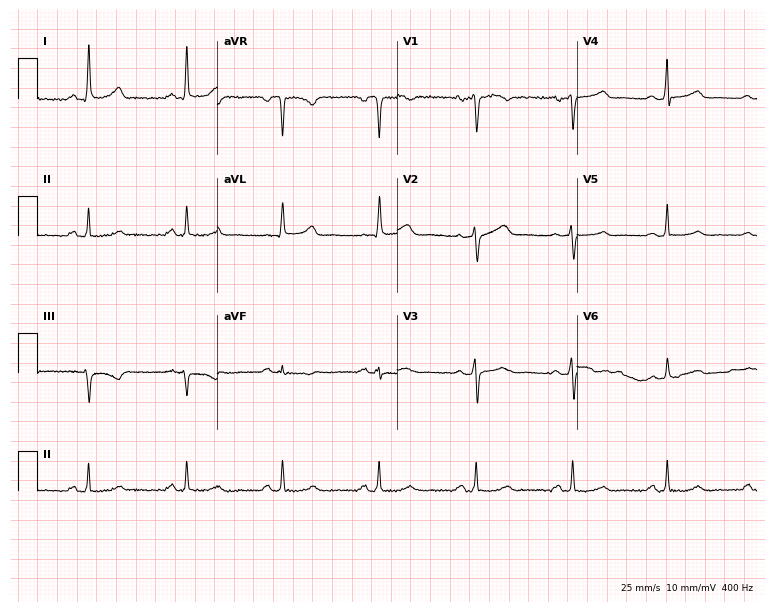
Electrocardiogram (7.3-second recording at 400 Hz), a 55-year-old female. Of the six screened findings (first-degree AV block, right bundle branch block, left bundle branch block, sinus bradycardia, atrial fibrillation, sinus tachycardia), none is recorded.